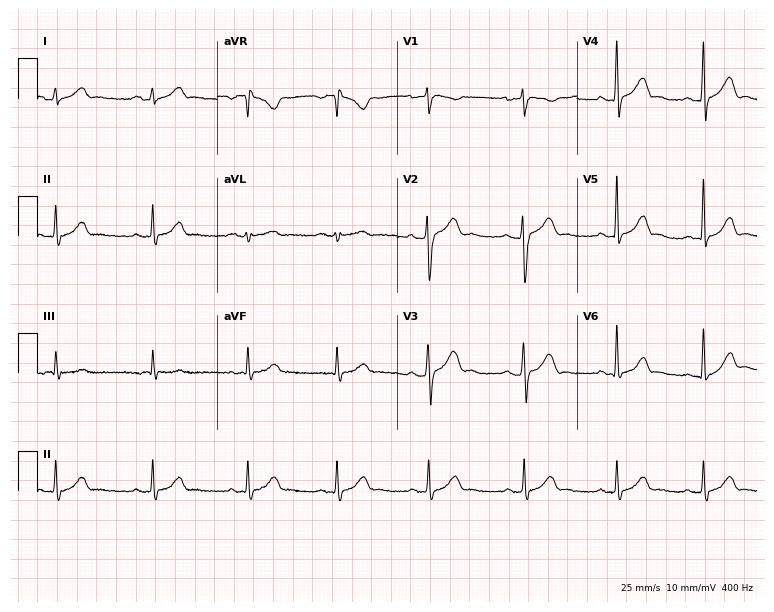
ECG — a 23-year-old male patient. Labelled as a normal ECG.